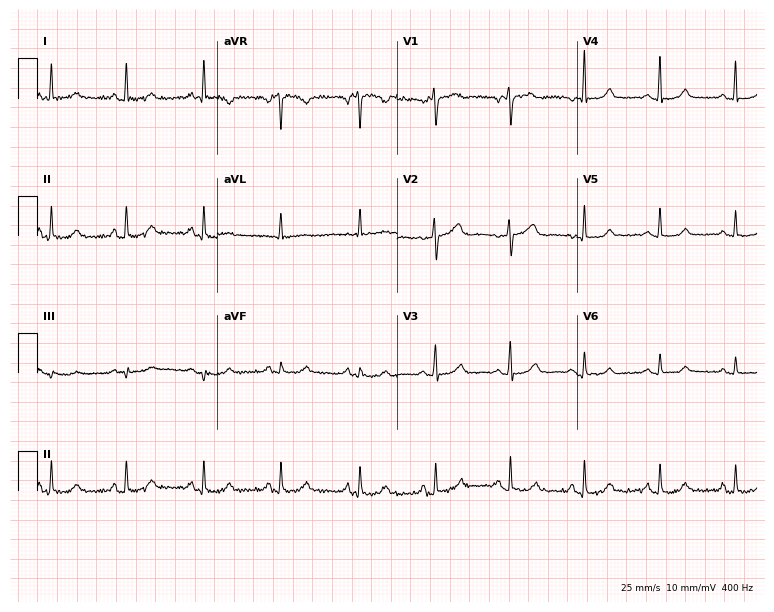
12-lead ECG (7.3-second recording at 400 Hz) from a woman, 57 years old. Labelled as a normal ECG.